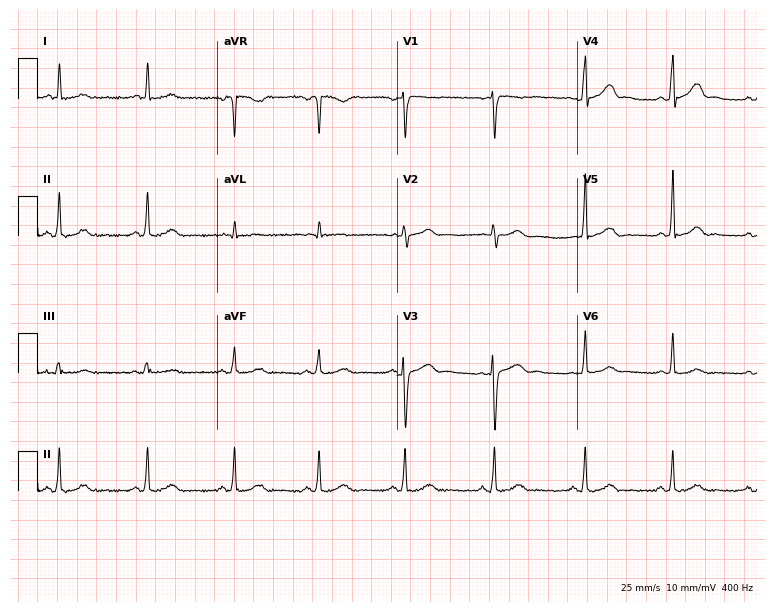
12-lead ECG (7.3-second recording at 400 Hz) from a female patient, 29 years old. Screened for six findings — first-degree AV block, right bundle branch block, left bundle branch block, sinus bradycardia, atrial fibrillation, sinus tachycardia — none is recorded.